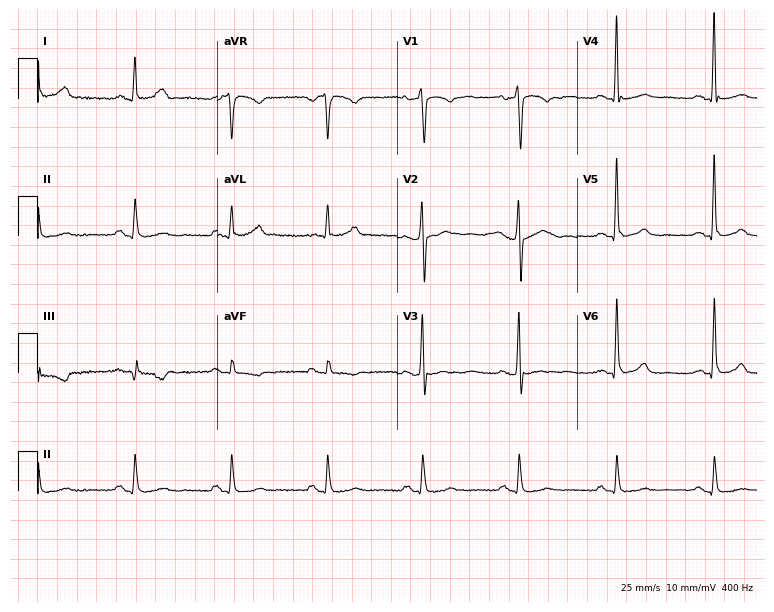
Resting 12-lead electrocardiogram. Patient: a man, 51 years old. None of these six findings is recorded: first-degree AV block, right bundle branch block (RBBB), left bundle branch block (LBBB), sinus bradycardia, atrial fibrillation (AF), sinus tachycardia. Only these six findings were labelled.